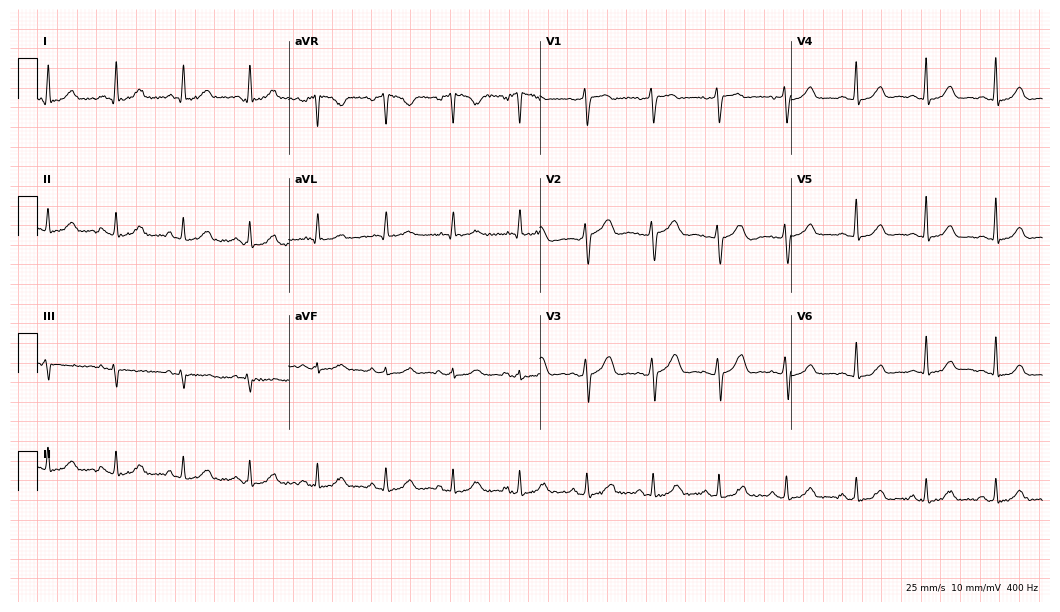
Resting 12-lead electrocardiogram (10.2-second recording at 400 Hz). Patient: a 56-year-old female. Read as a normal ECG.